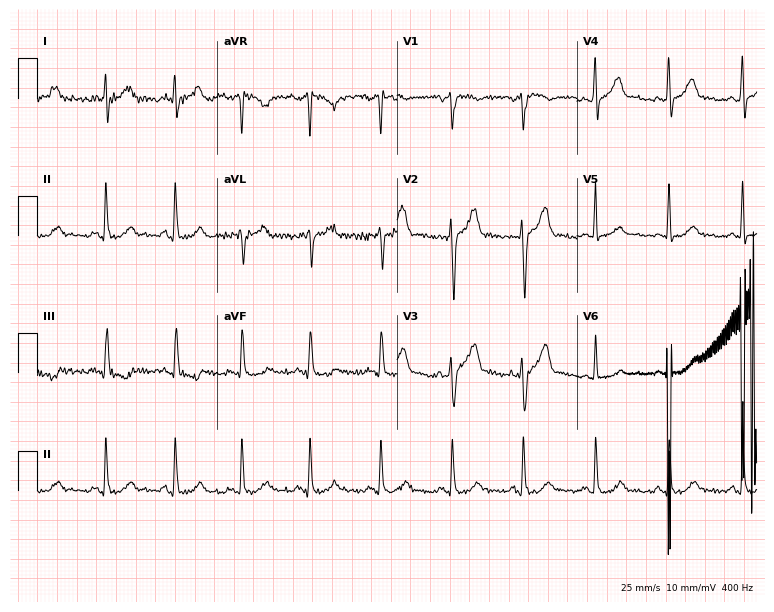
Resting 12-lead electrocardiogram. Patient: a 36-year-old man. Read as a normal ECG.